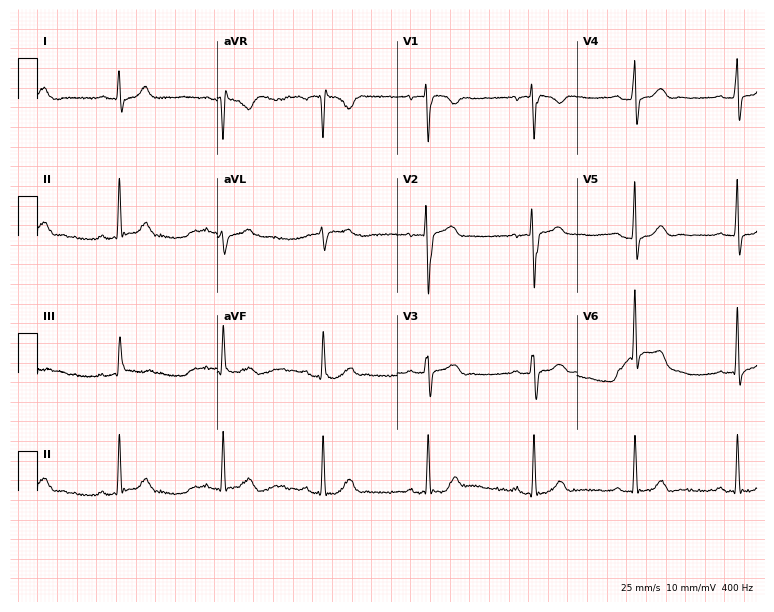
Electrocardiogram (7.3-second recording at 400 Hz), a man, 36 years old. Overall reading on record: normal ECG.